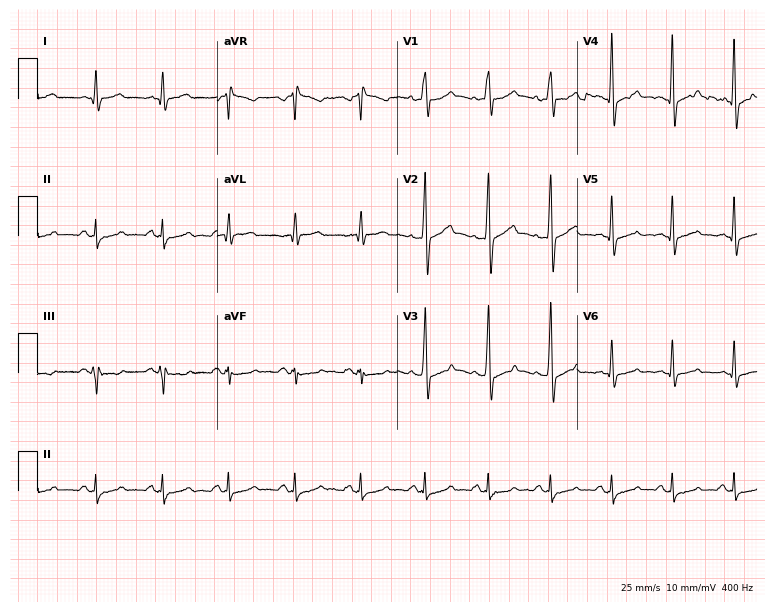
Electrocardiogram (7.3-second recording at 400 Hz), a male patient, 48 years old. Overall reading on record: normal ECG.